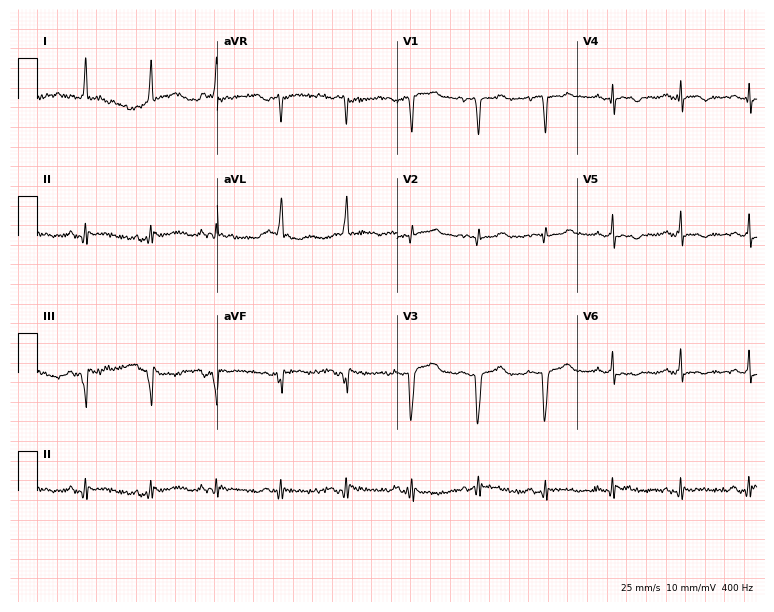
Resting 12-lead electrocardiogram (7.3-second recording at 400 Hz). Patient: a female, 62 years old. Read as a normal ECG.